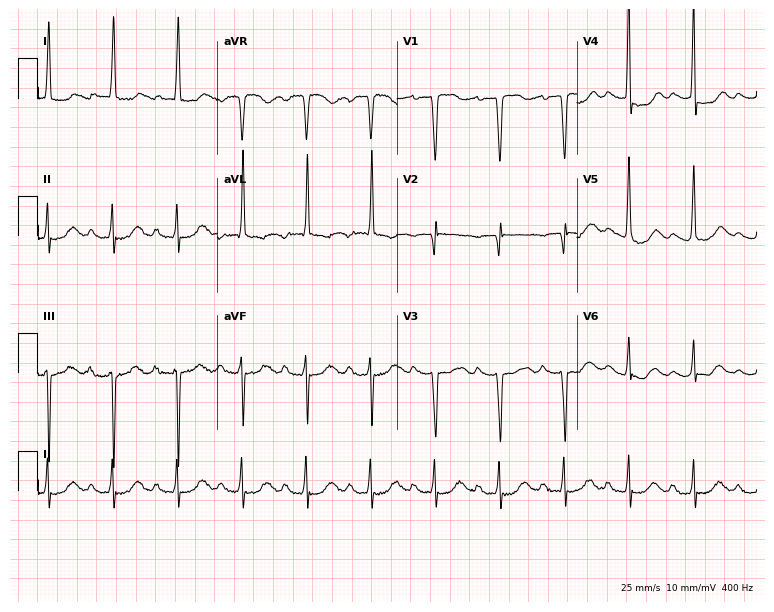
ECG (7.3-second recording at 400 Hz) — a female patient, 81 years old. Screened for six findings — first-degree AV block, right bundle branch block (RBBB), left bundle branch block (LBBB), sinus bradycardia, atrial fibrillation (AF), sinus tachycardia — none is recorded. Only these six findings were labelled.